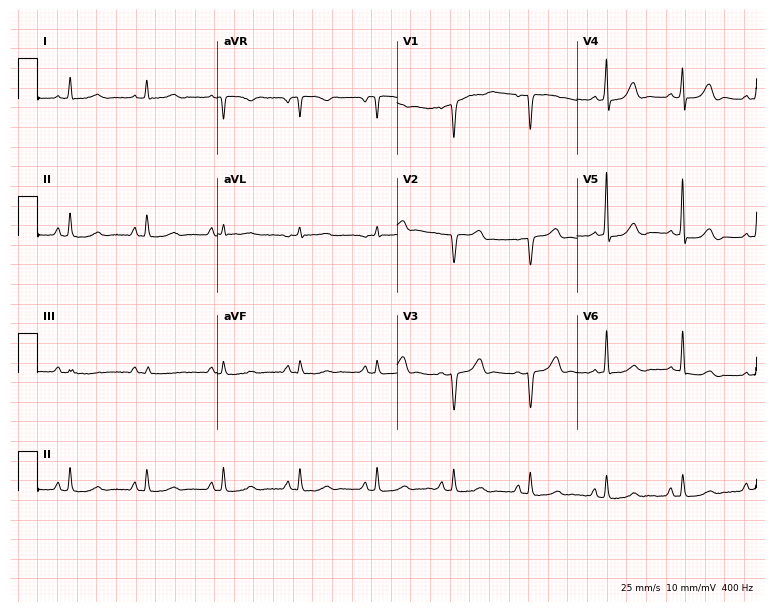
ECG — an 83-year-old man. Screened for six findings — first-degree AV block, right bundle branch block, left bundle branch block, sinus bradycardia, atrial fibrillation, sinus tachycardia — none is recorded. Findings outside these six are not listed.